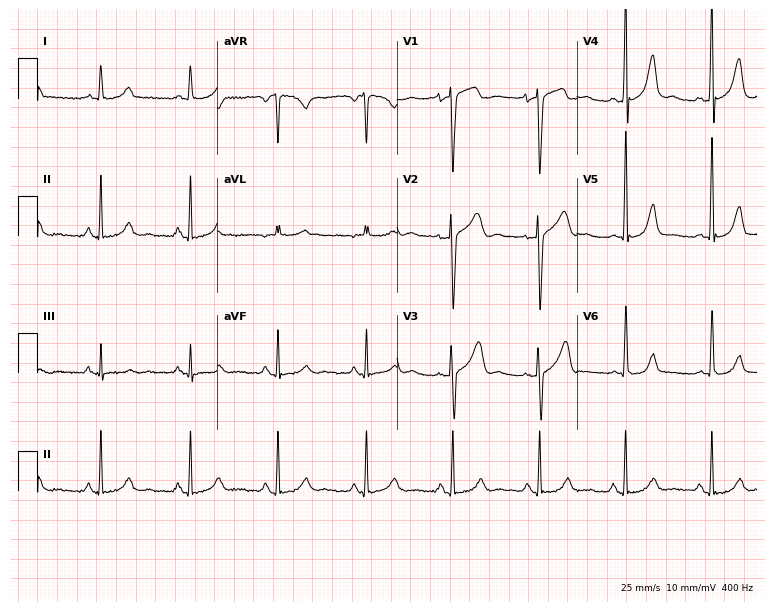
Standard 12-lead ECG recorded from a 49-year-old male patient. Read as a normal ECG.